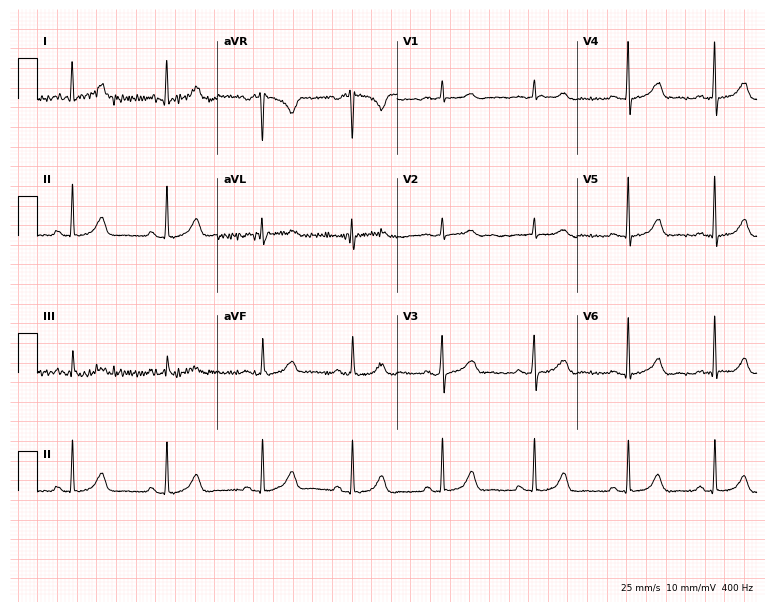
ECG (7.3-second recording at 400 Hz) — a female patient, 48 years old. Labelled as a normal ECG.